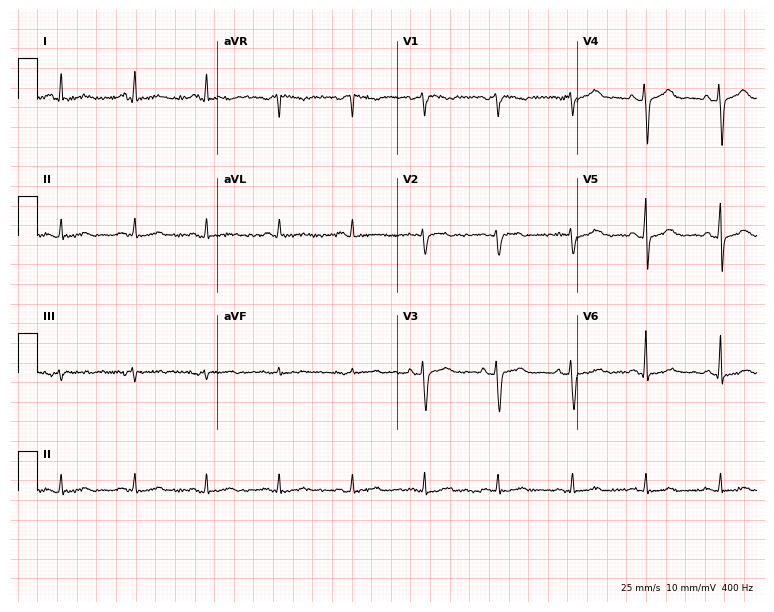
Standard 12-lead ECG recorded from a woman, 67 years old. None of these six findings is recorded: first-degree AV block, right bundle branch block, left bundle branch block, sinus bradycardia, atrial fibrillation, sinus tachycardia.